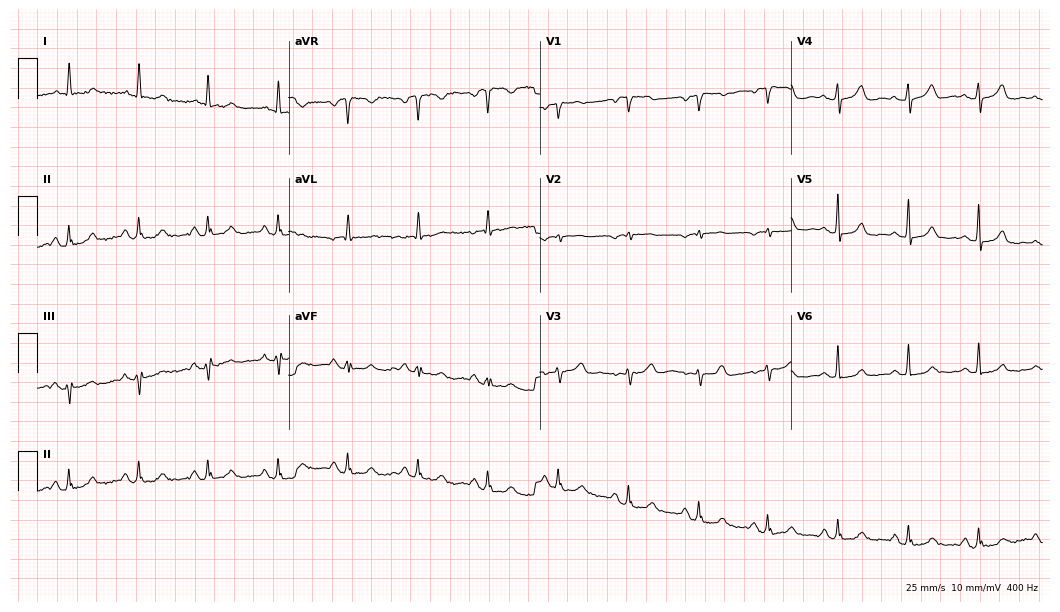
Resting 12-lead electrocardiogram (10.2-second recording at 400 Hz). Patient: an 82-year-old woman. None of these six findings is recorded: first-degree AV block, right bundle branch block, left bundle branch block, sinus bradycardia, atrial fibrillation, sinus tachycardia. Findings outside these six are not listed.